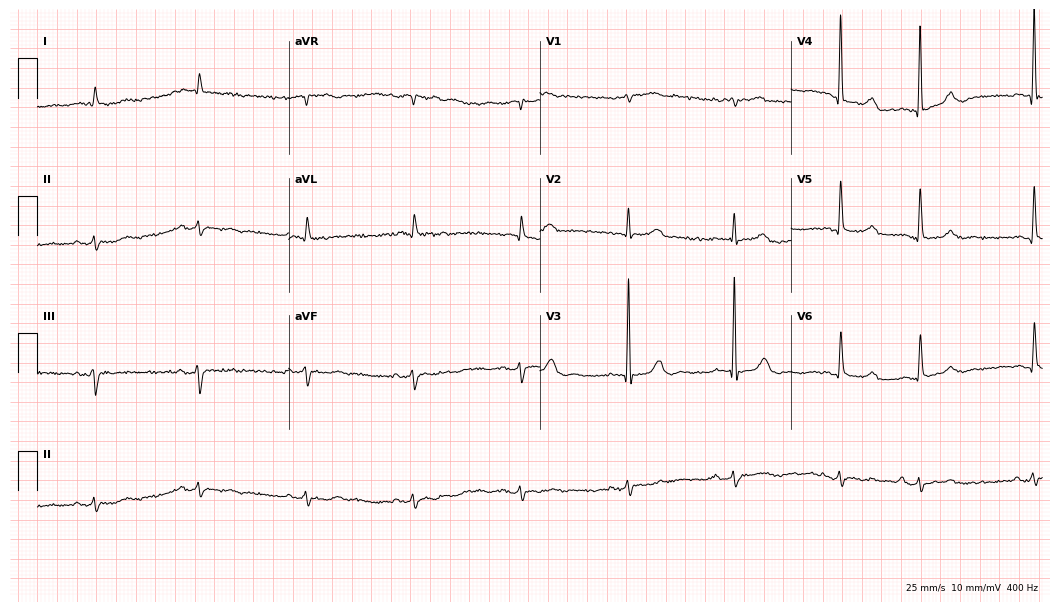
ECG (10.2-second recording at 400 Hz) — a male, 83 years old. Labelled as a normal ECG.